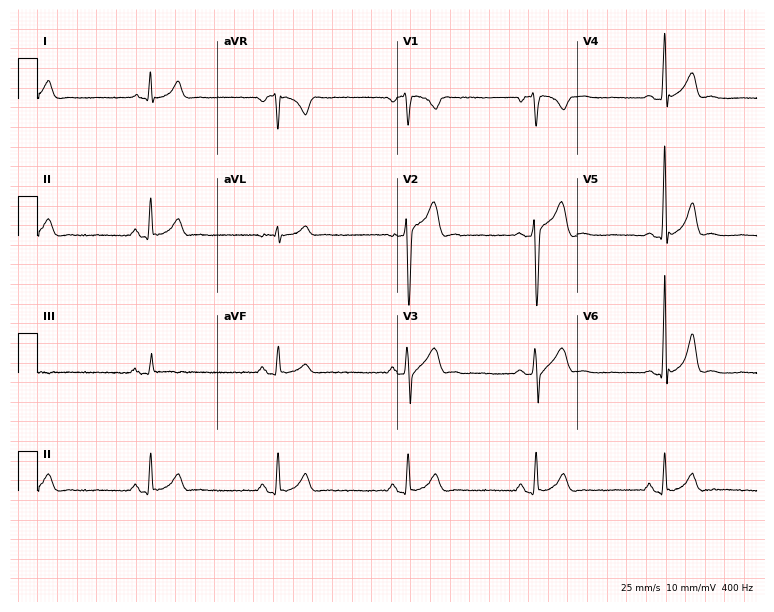
12-lead ECG from a male patient, 32 years old. Shows sinus bradycardia (a sinus rate of 50 beats per minute or less).